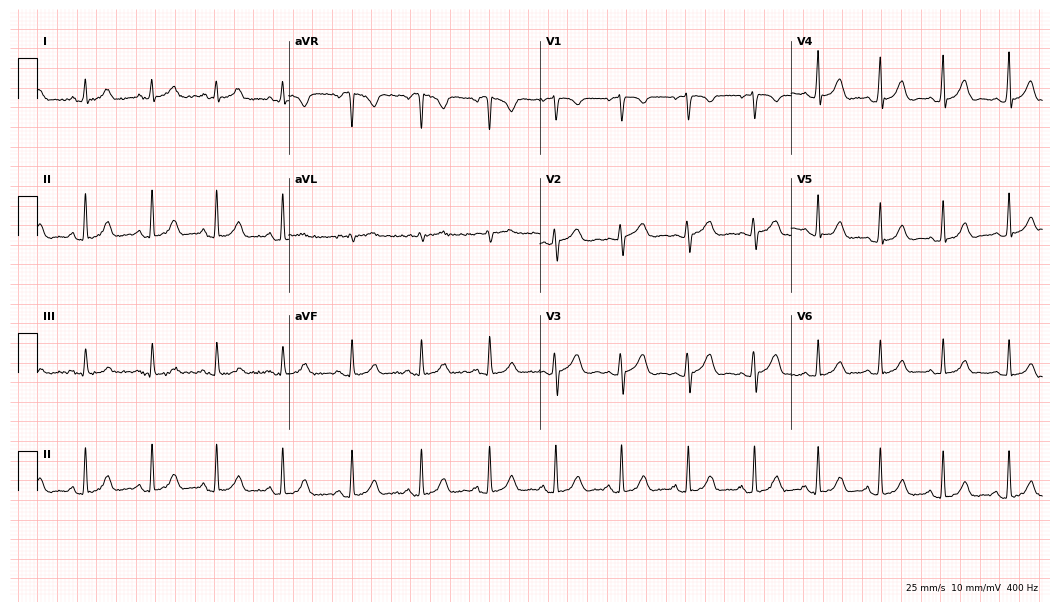
Resting 12-lead electrocardiogram (10.2-second recording at 400 Hz). Patient: a 19-year-old female. Read as a normal ECG.